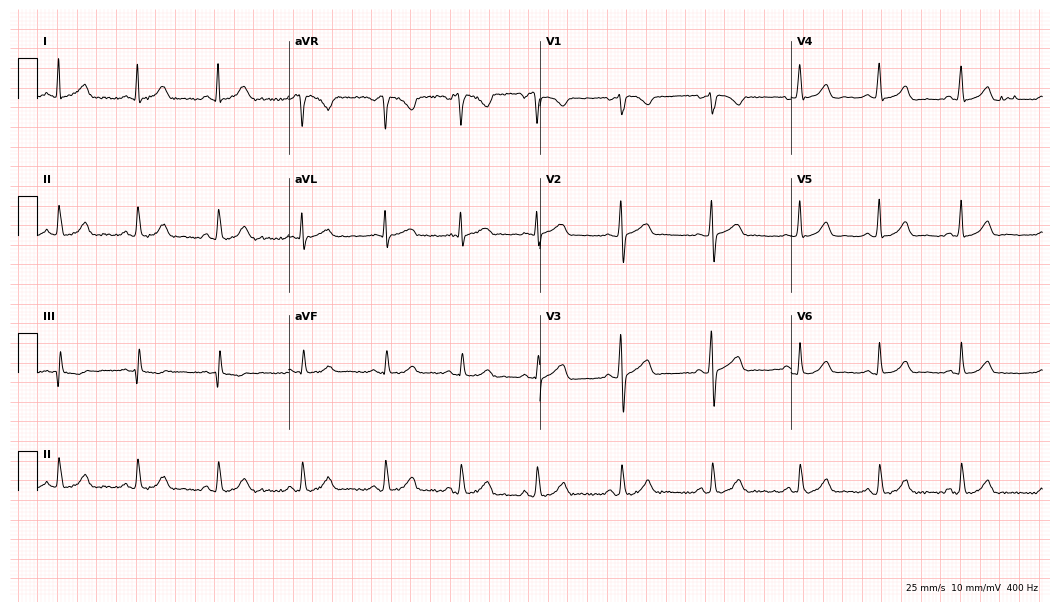
12-lead ECG from a 26-year-old male. Recorded interpretation: within normal limits.